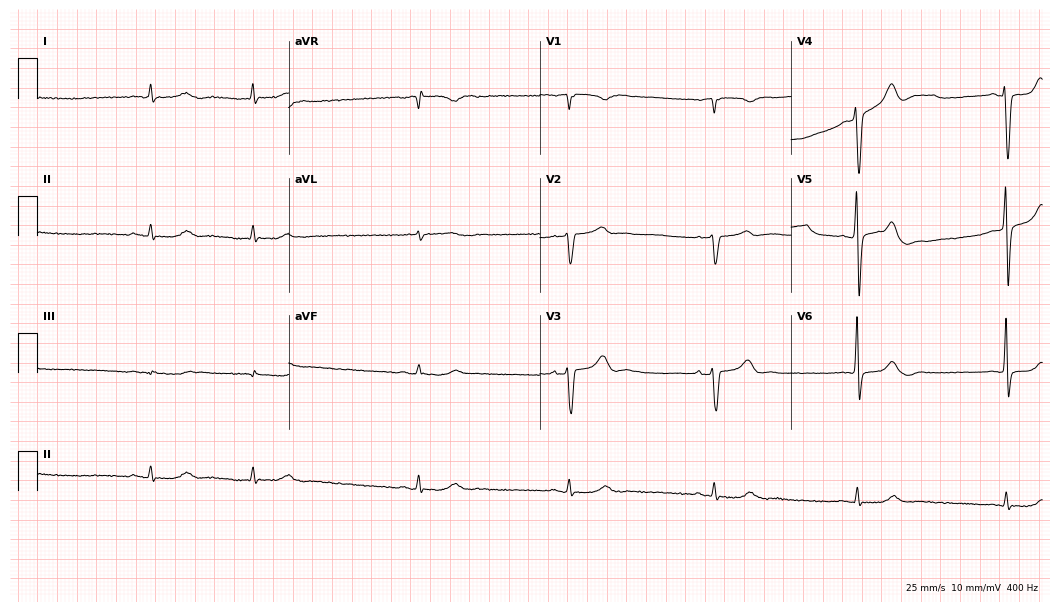
Electrocardiogram, a male, 78 years old. Interpretation includes sinus bradycardia (a sinus rate of 50 beats per minute or less).